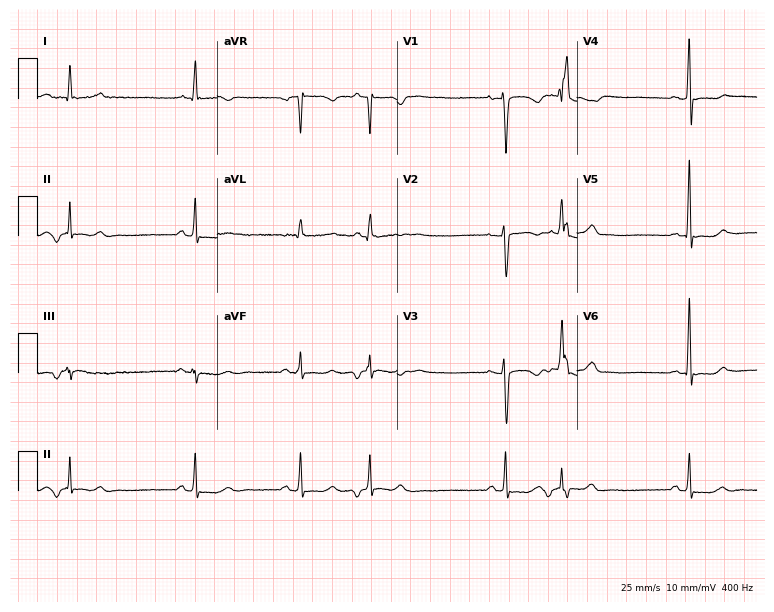
12-lead ECG from a 31-year-old female (7.3-second recording at 400 Hz). No first-degree AV block, right bundle branch block, left bundle branch block, sinus bradycardia, atrial fibrillation or sinus tachycardia recorded for this tracing. Only these six findings were labelled.